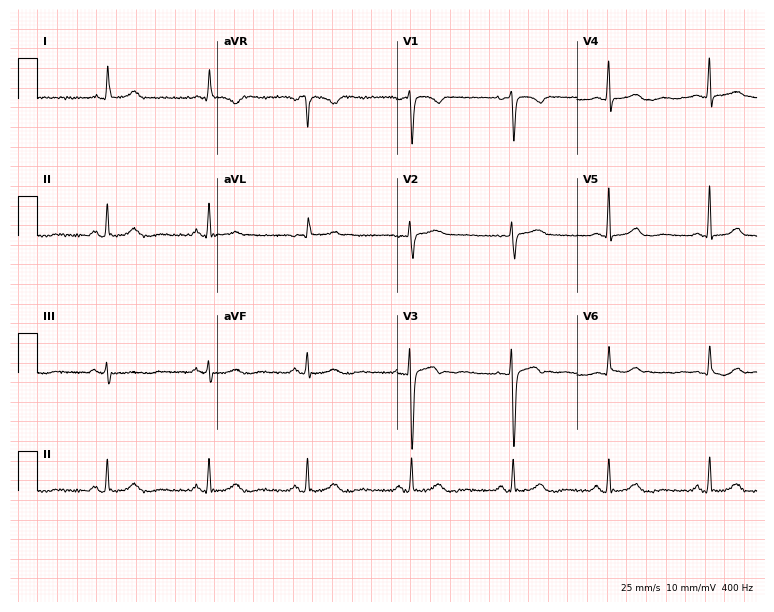
Resting 12-lead electrocardiogram. Patient: a 35-year-old woman. Read as a normal ECG.